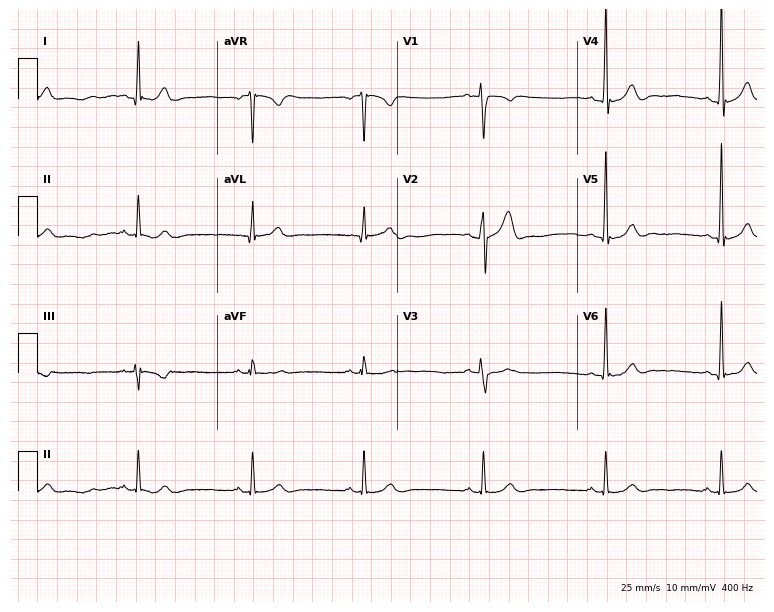
12-lead ECG from a male patient, 36 years old. Recorded interpretation: within normal limits.